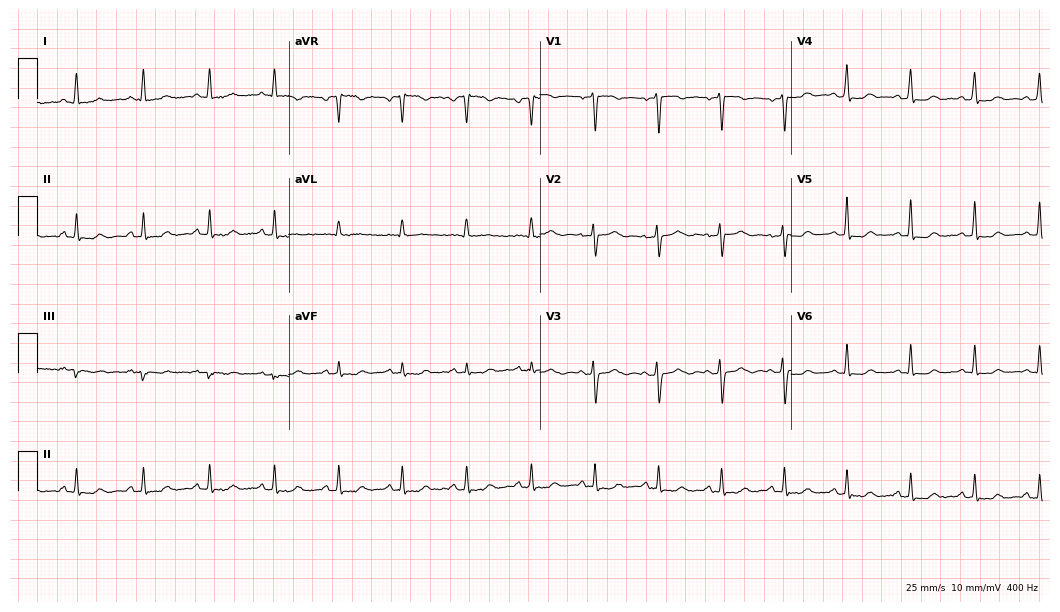
ECG — a woman, 53 years old. Labelled as a normal ECG.